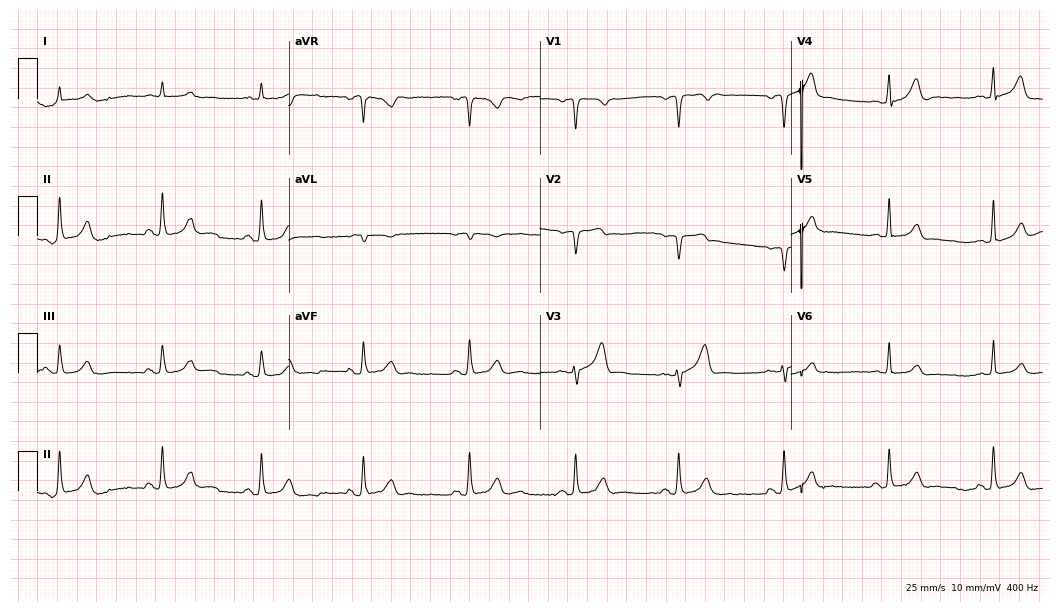
12-lead ECG from a male, 67 years old. Screened for six findings — first-degree AV block, right bundle branch block, left bundle branch block, sinus bradycardia, atrial fibrillation, sinus tachycardia — none is recorded. Other findings, if any, are not listed.